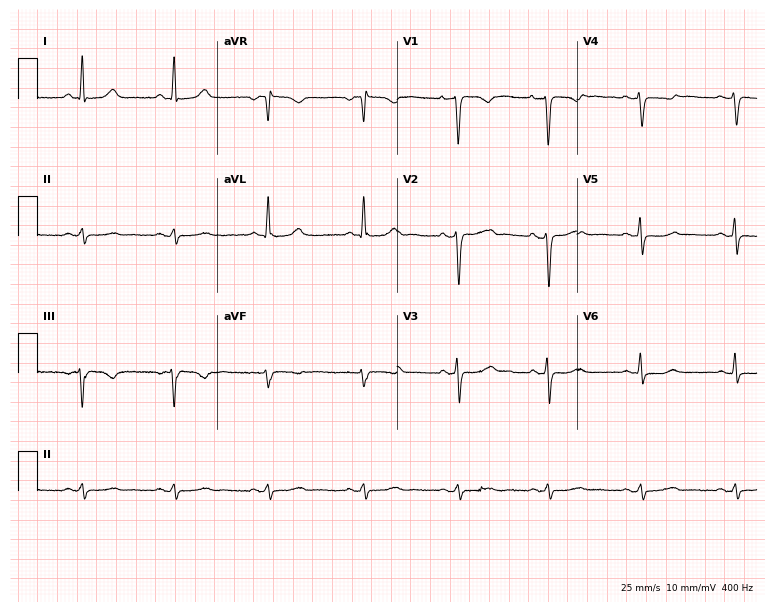
12-lead ECG from a female patient, 49 years old (7.3-second recording at 400 Hz). No first-degree AV block, right bundle branch block (RBBB), left bundle branch block (LBBB), sinus bradycardia, atrial fibrillation (AF) or sinus tachycardia recorded for this tracing.